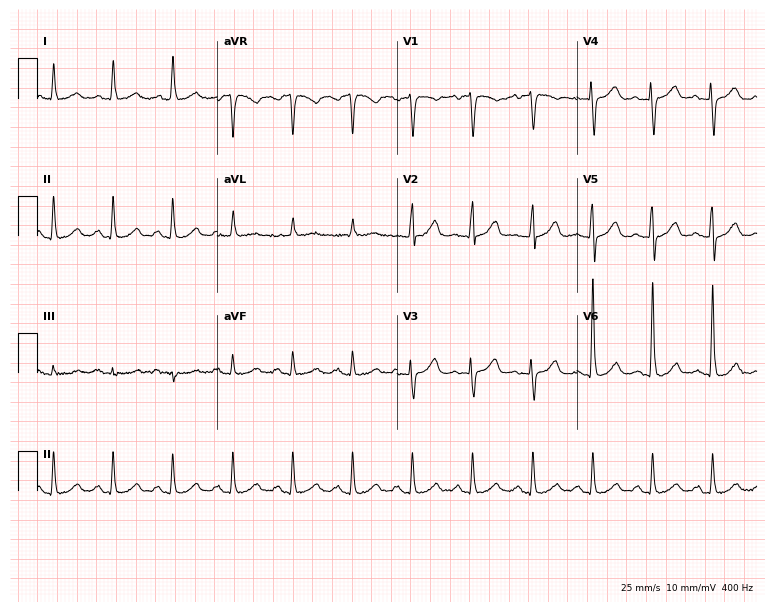
Electrocardiogram, an 84-year-old woman. Overall reading on record: normal ECG.